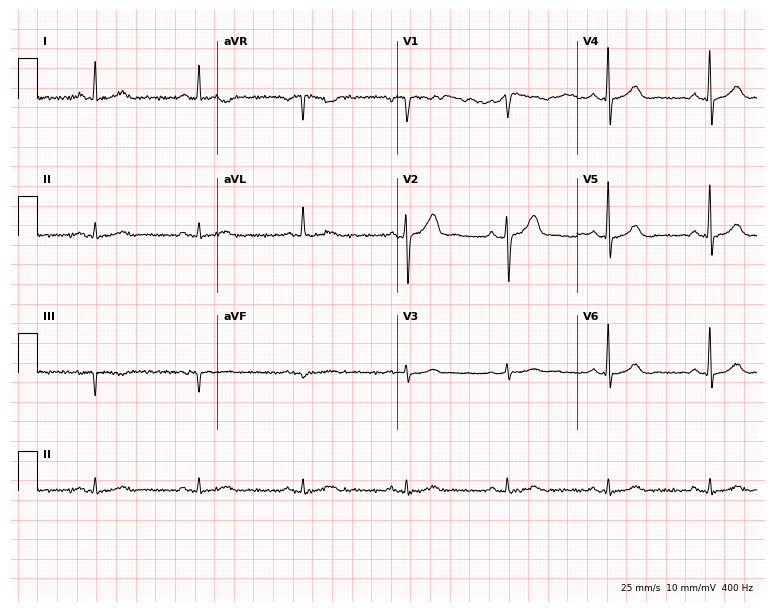
ECG — a 76-year-old male. Screened for six findings — first-degree AV block, right bundle branch block, left bundle branch block, sinus bradycardia, atrial fibrillation, sinus tachycardia — none is recorded.